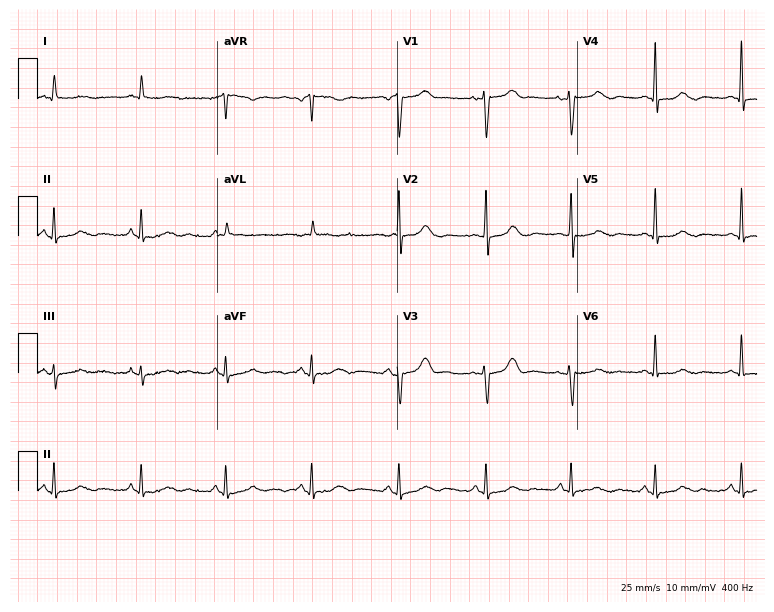
12-lead ECG from an 83-year-old woman (7.3-second recording at 400 Hz). Recorded interpretation: within normal limits.